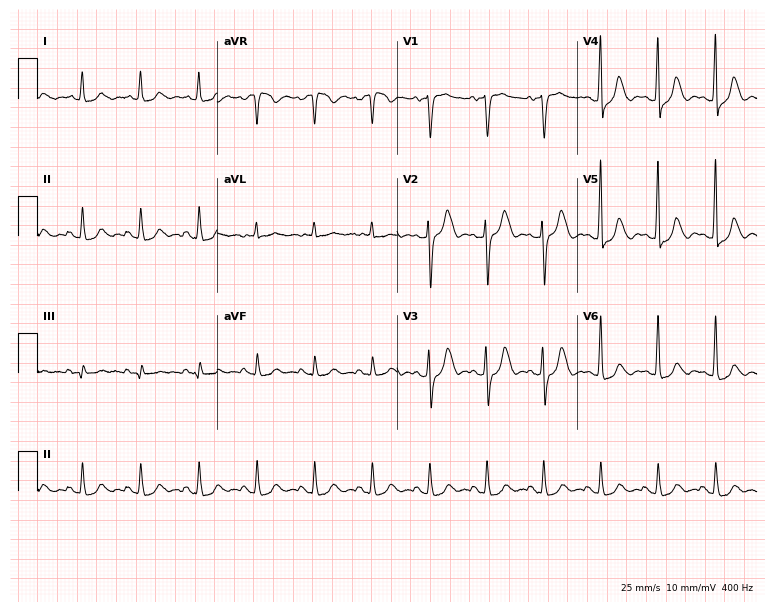
12-lead ECG from a 76-year-old woman. Findings include sinus tachycardia (a sinus rate of 100 beats per minute or more).